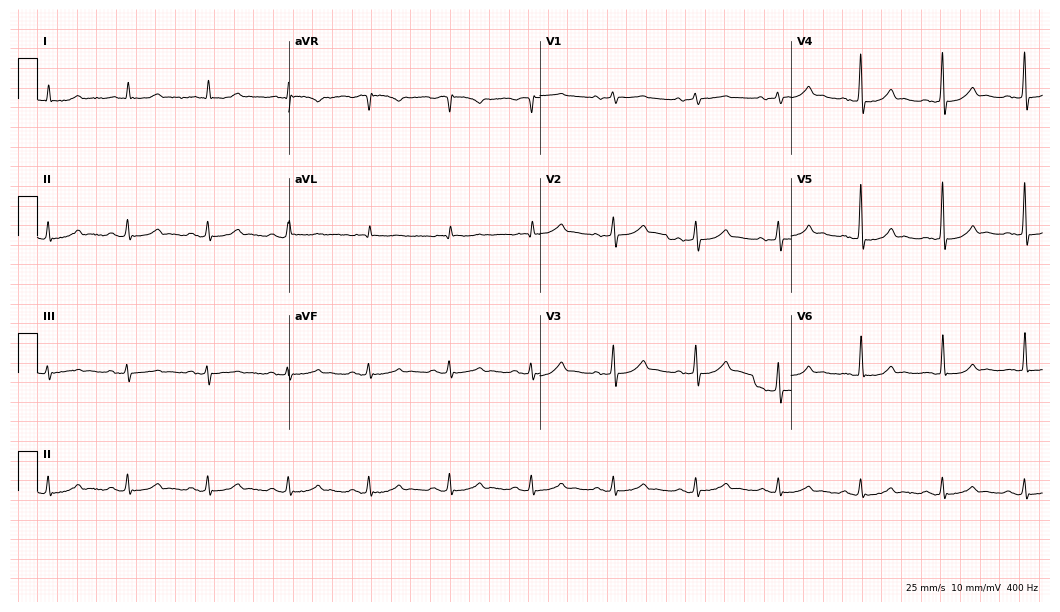
ECG (10.2-second recording at 400 Hz) — a male, 69 years old. Labelled as a normal ECG.